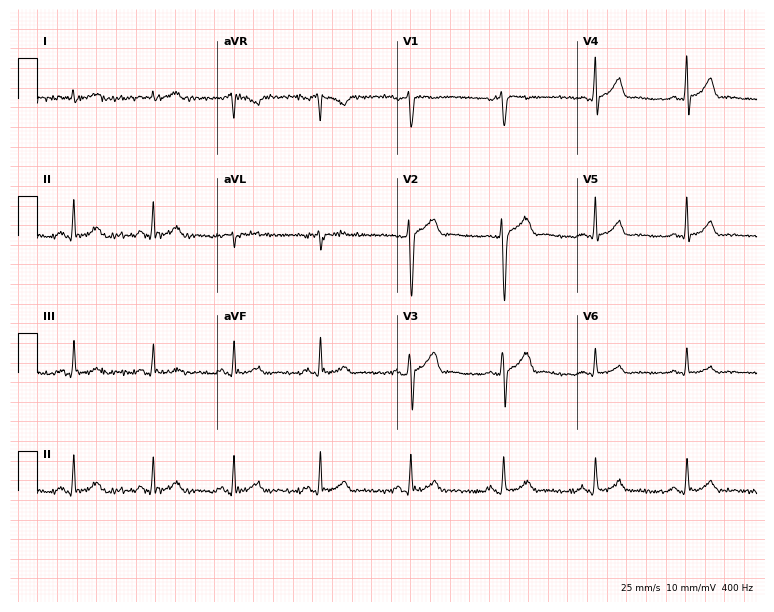
Electrocardiogram (7.3-second recording at 400 Hz), a 42-year-old male. Overall reading on record: normal ECG.